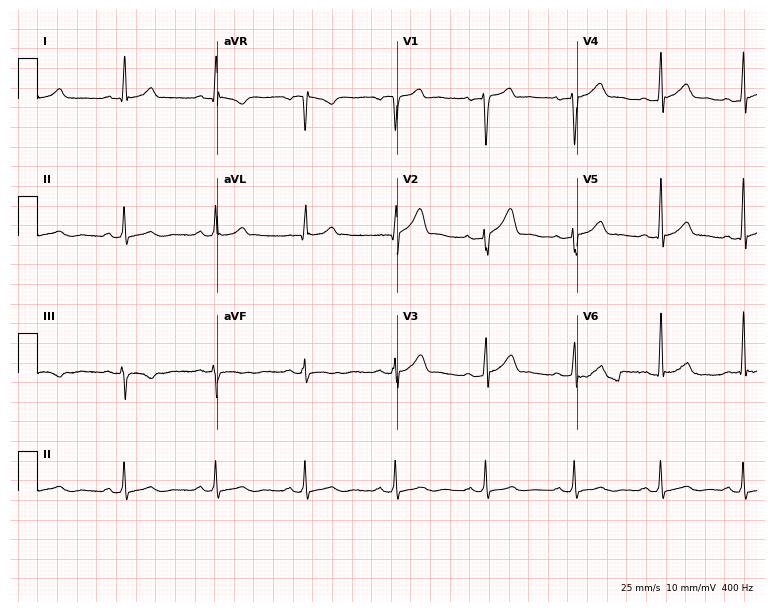
12-lead ECG from a 33-year-old man. Labelled as a normal ECG.